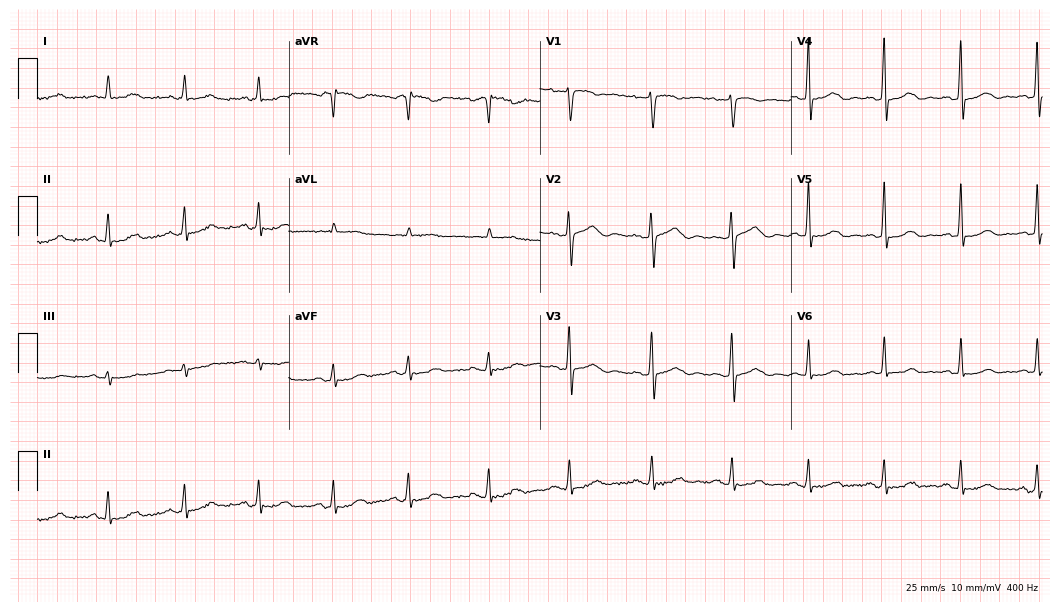
12-lead ECG from a 54-year-old woman. Screened for six findings — first-degree AV block, right bundle branch block, left bundle branch block, sinus bradycardia, atrial fibrillation, sinus tachycardia — none is recorded.